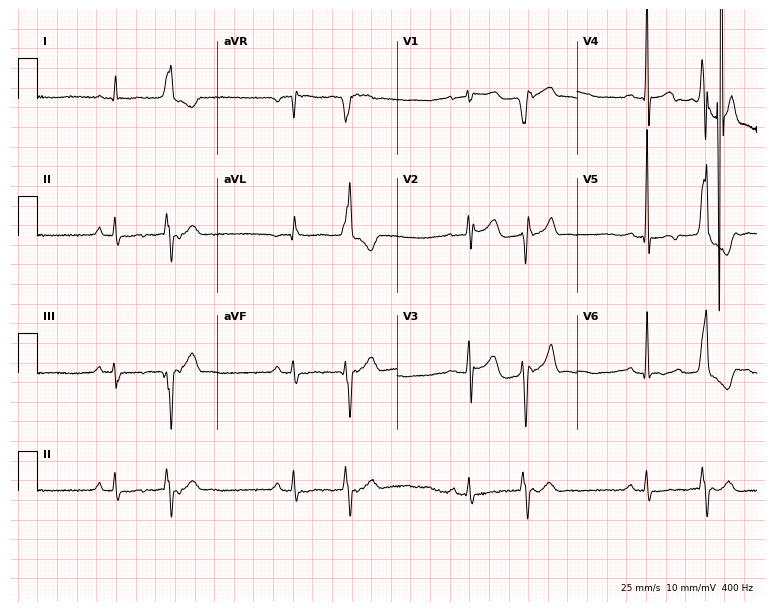
12-lead ECG (7.3-second recording at 400 Hz) from a male patient, 79 years old. Screened for six findings — first-degree AV block, right bundle branch block, left bundle branch block, sinus bradycardia, atrial fibrillation, sinus tachycardia — none is recorded. Findings outside these six are not listed.